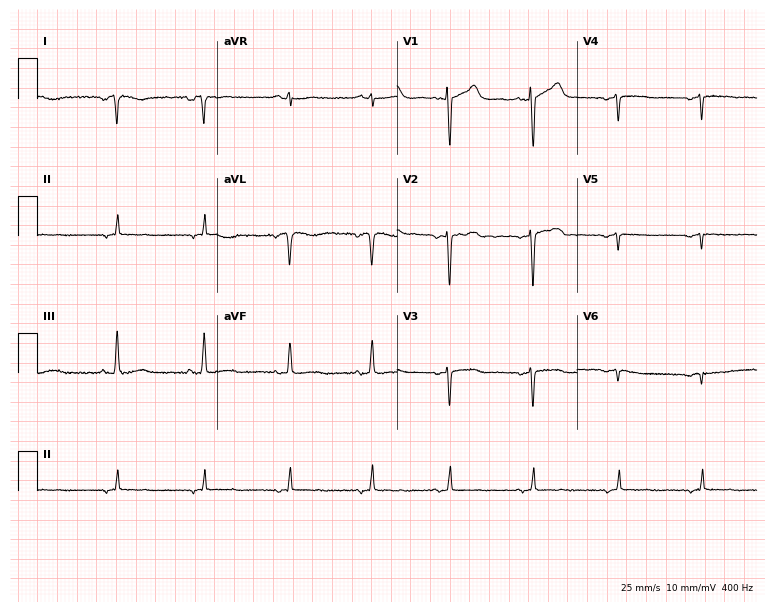
Standard 12-lead ECG recorded from a female, 54 years old (7.3-second recording at 400 Hz). None of these six findings is recorded: first-degree AV block, right bundle branch block, left bundle branch block, sinus bradycardia, atrial fibrillation, sinus tachycardia.